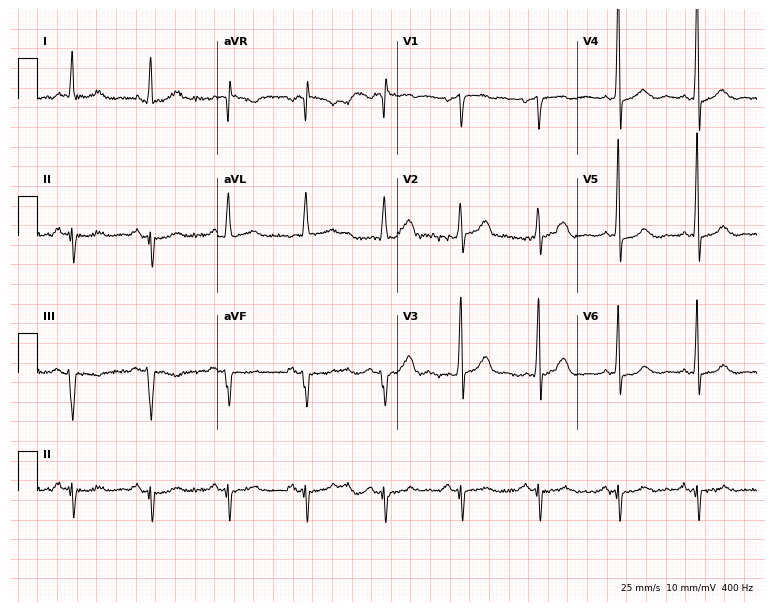
Standard 12-lead ECG recorded from a 74-year-old male patient (7.3-second recording at 400 Hz). None of these six findings is recorded: first-degree AV block, right bundle branch block (RBBB), left bundle branch block (LBBB), sinus bradycardia, atrial fibrillation (AF), sinus tachycardia. Other findings, if any, are not listed.